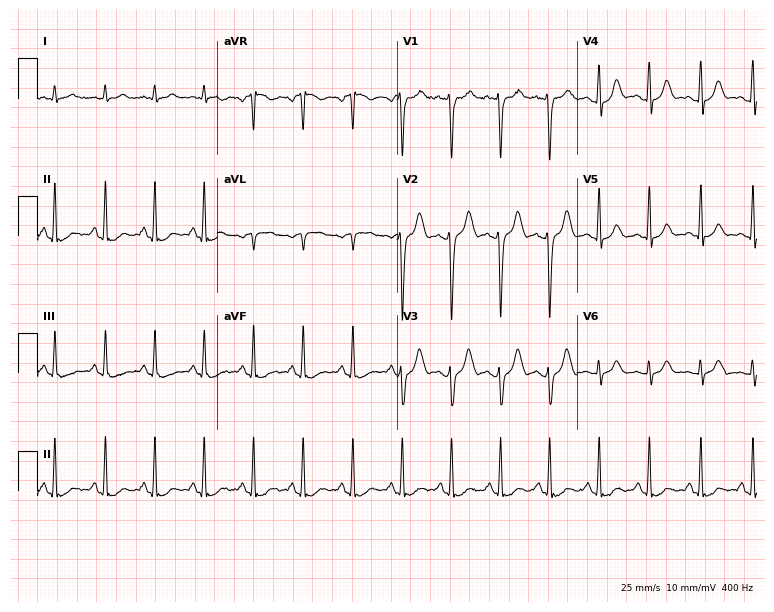
Electrocardiogram, a man, 36 years old. Interpretation includes sinus tachycardia (a sinus rate of 100 beats per minute or more).